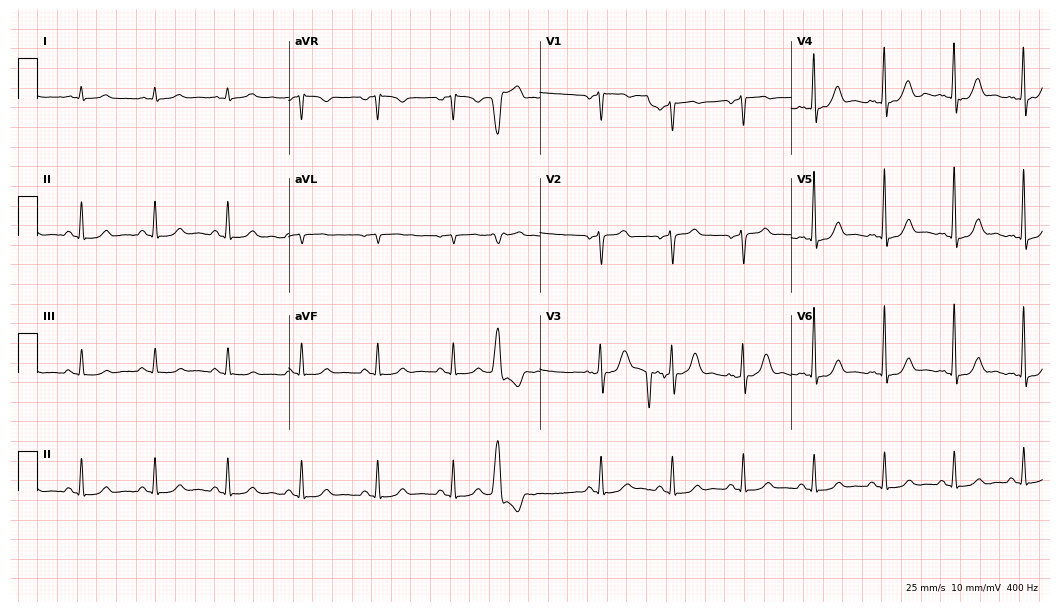
ECG (10.2-second recording at 400 Hz) — a male, 62 years old. Screened for six findings — first-degree AV block, right bundle branch block, left bundle branch block, sinus bradycardia, atrial fibrillation, sinus tachycardia — none is recorded.